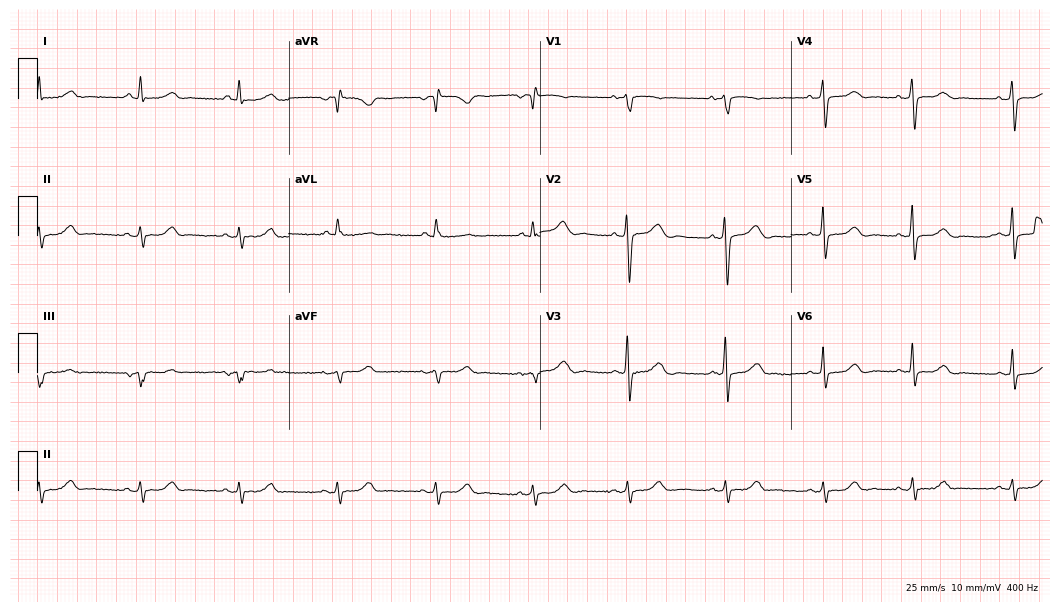
Standard 12-lead ECG recorded from a female, 64 years old. None of these six findings is recorded: first-degree AV block, right bundle branch block, left bundle branch block, sinus bradycardia, atrial fibrillation, sinus tachycardia. Only these six findings were labelled.